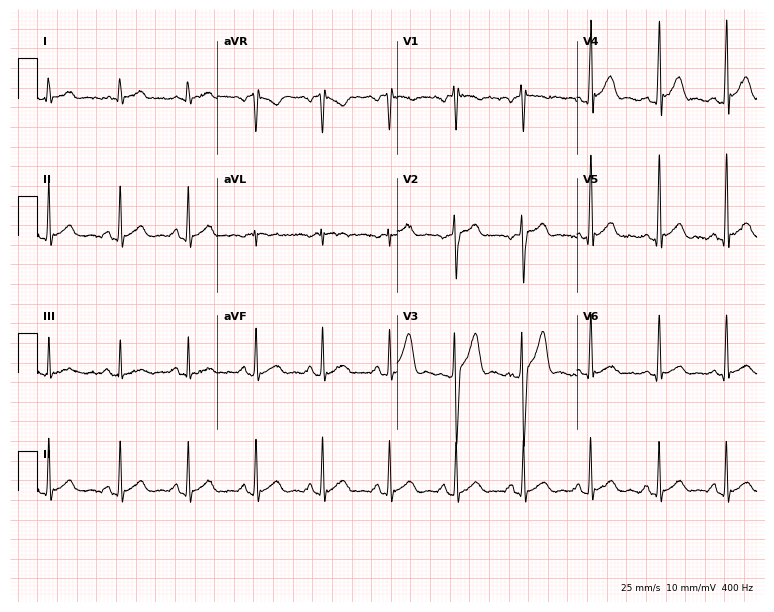
ECG — a 25-year-old man. Labelled as a normal ECG.